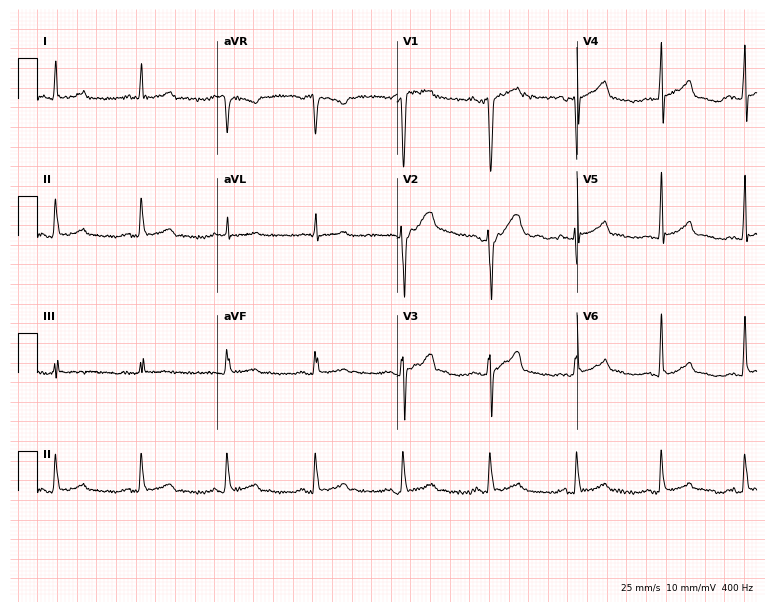
Electrocardiogram, a male, 41 years old. Of the six screened findings (first-degree AV block, right bundle branch block (RBBB), left bundle branch block (LBBB), sinus bradycardia, atrial fibrillation (AF), sinus tachycardia), none is recorded.